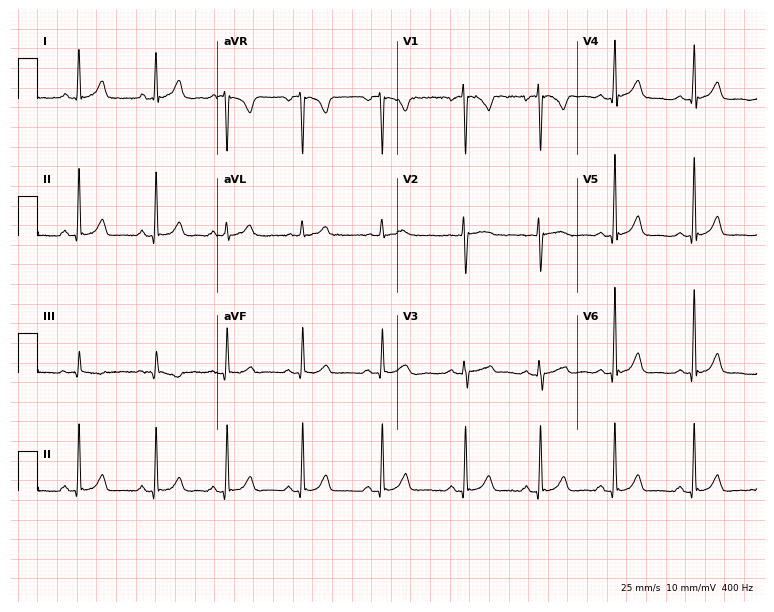
Resting 12-lead electrocardiogram. Patient: a 27-year-old female. Read as a normal ECG.